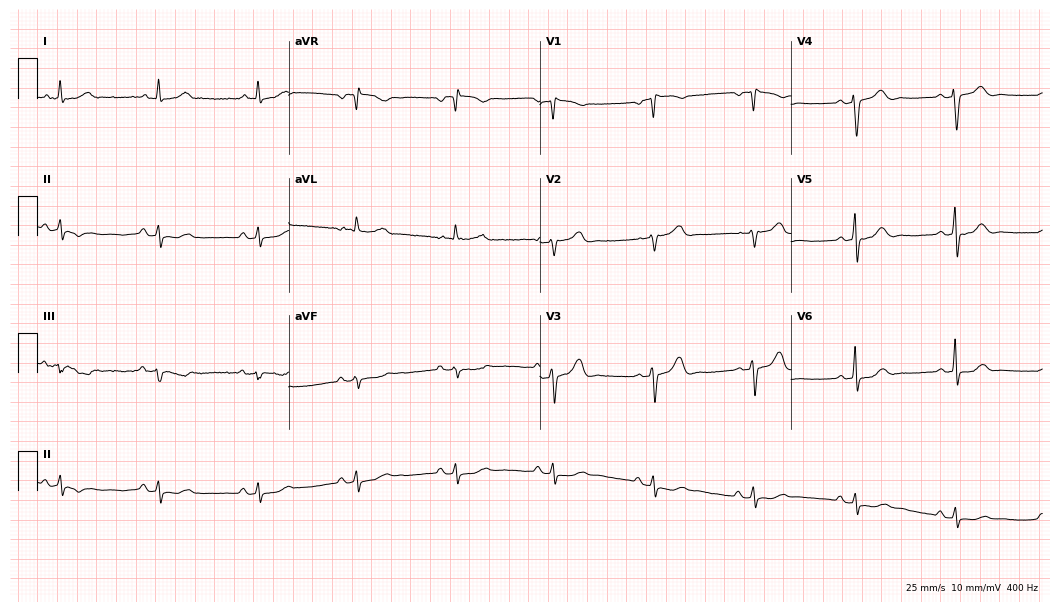
ECG — a woman, 67 years old. Screened for six findings — first-degree AV block, right bundle branch block, left bundle branch block, sinus bradycardia, atrial fibrillation, sinus tachycardia — none is recorded. Only these six findings were labelled.